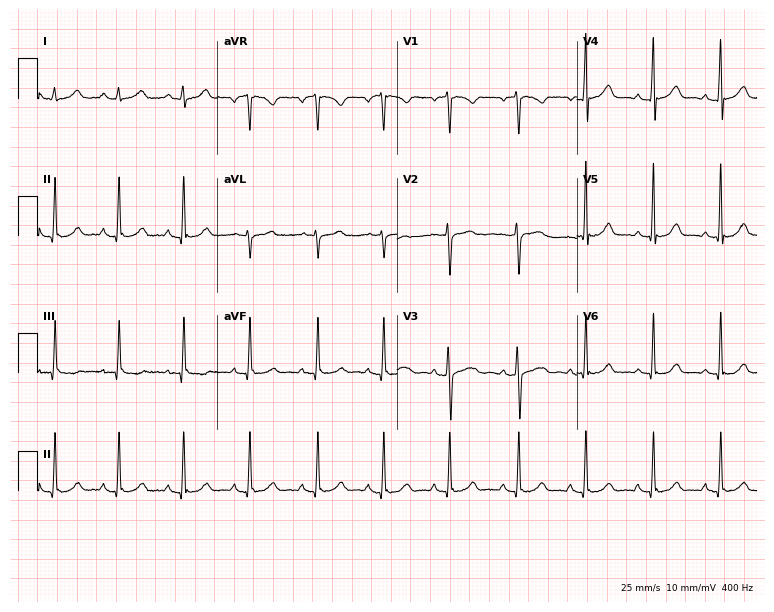
ECG — a female, 18 years old. Labelled as a normal ECG.